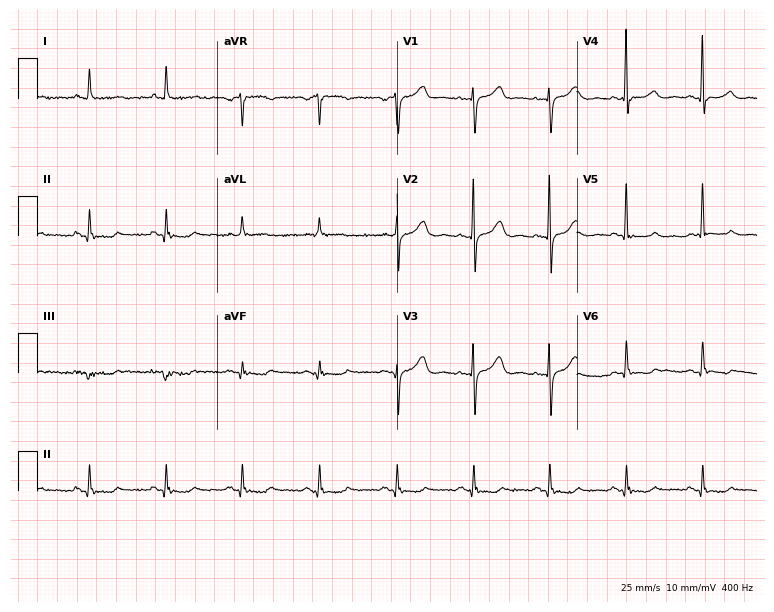
Resting 12-lead electrocardiogram (7.3-second recording at 400 Hz). Patient: a 74-year-old female. None of these six findings is recorded: first-degree AV block, right bundle branch block, left bundle branch block, sinus bradycardia, atrial fibrillation, sinus tachycardia. Other findings, if any, are not listed.